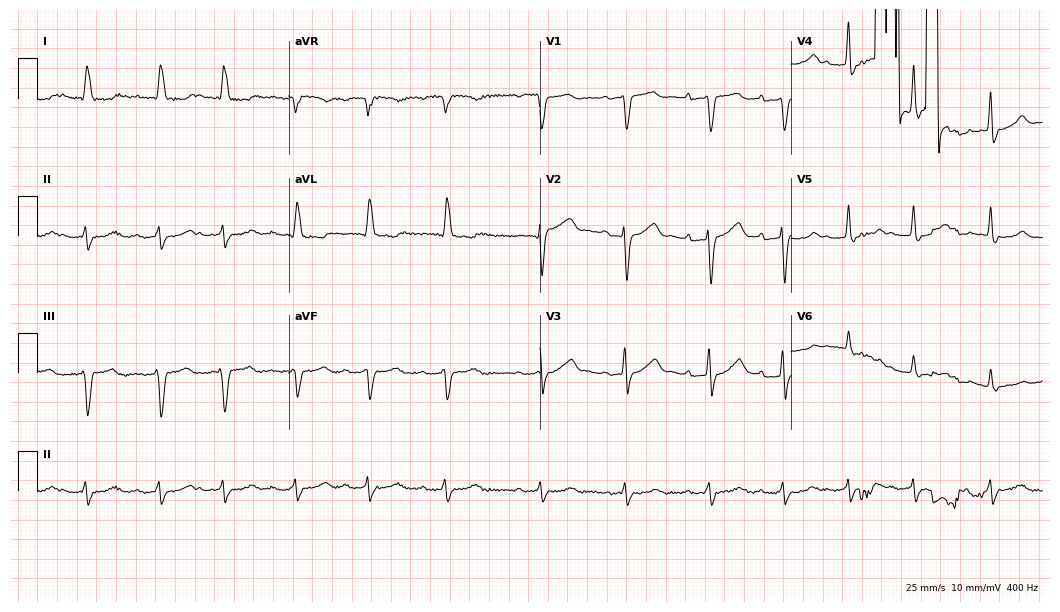
Electrocardiogram, a 77-year-old man. Interpretation includes first-degree AV block, atrial fibrillation.